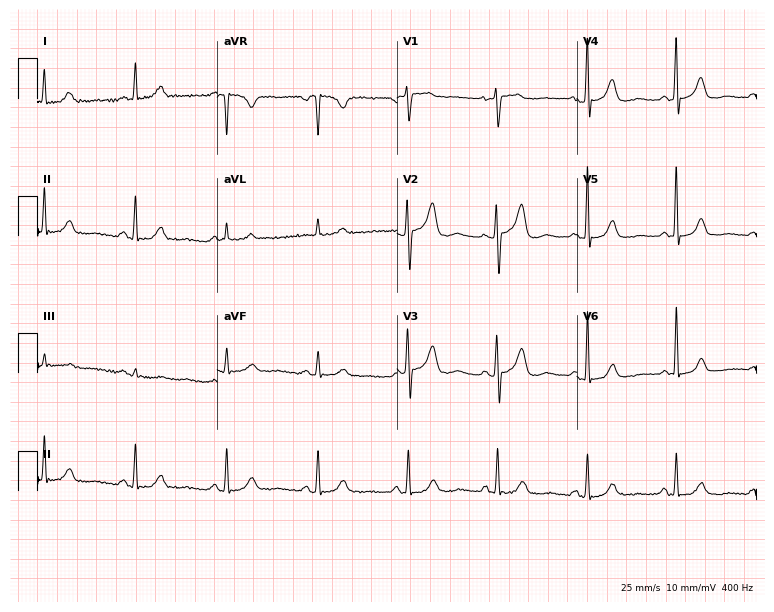
Resting 12-lead electrocardiogram (7.3-second recording at 400 Hz). Patient: a 66-year-old female. None of these six findings is recorded: first-degree AV block, right bundle branch block, left bundle branch block, sinus bradycardia, atrial fibrillation, sinus tachycardia. Only these six findings were labelled.